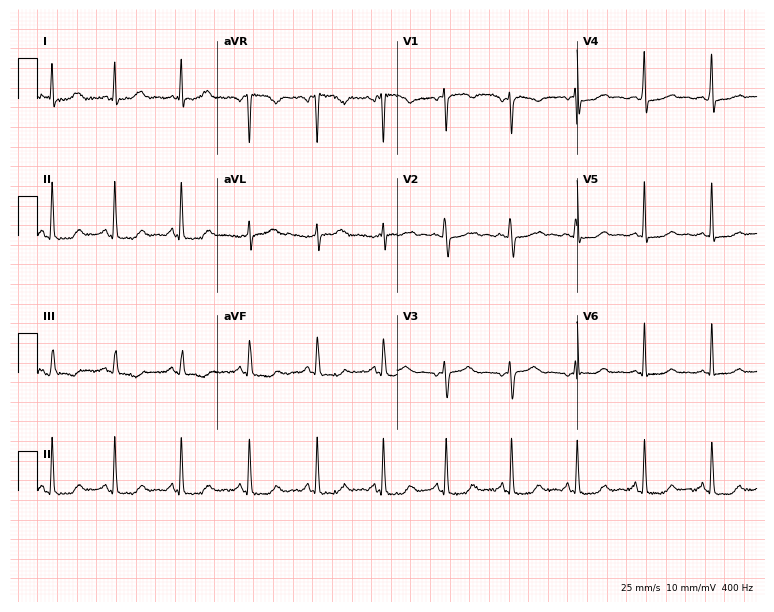
Standard 12-lead ECG recorded from a female patient, 33 years old (7.3-second recording at 400 Hz). None of these six findings is recorded: first-degree AV block, right bundle branch block, left bundle branch block, sinus bradycardia, atrial fibrillation, sinus tachycardia.